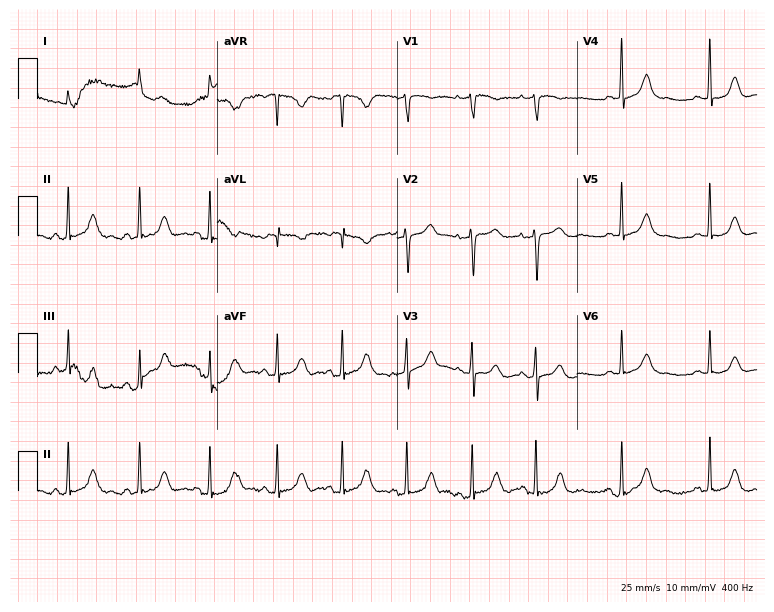
12-lead ECG (7.3-second recording at 400 Hz) from a female, 81 years old. Labelled as a normal ECG.